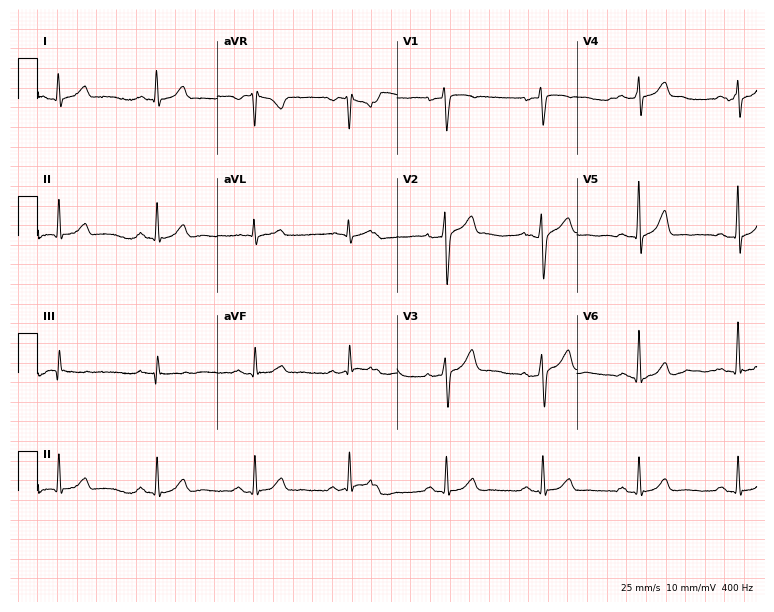
12-lead ECG (7.3-second recording at 400 Hz) from a male patient, 47 years old. Labelled as a normal ECG.